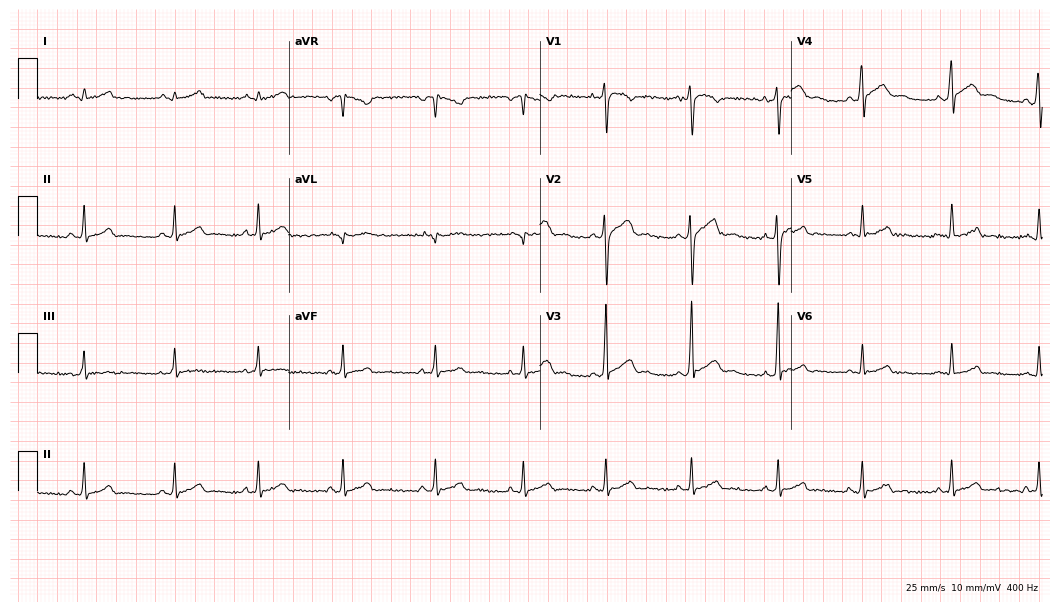
ECG (10.2-second recording at 400 Hz) — a male patient, 21 years old. Labelled as a normal ECG.